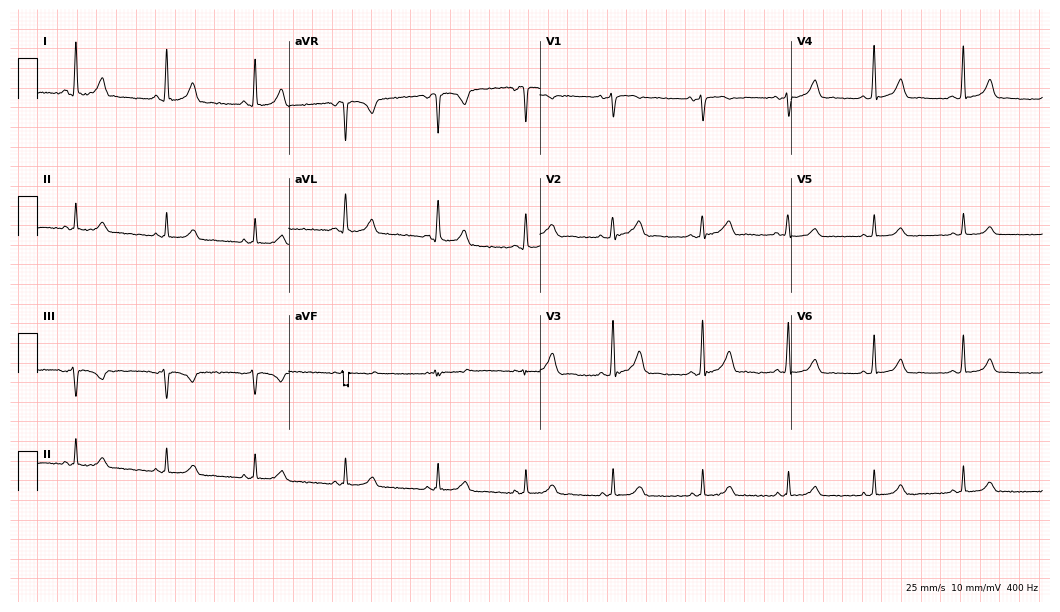
12-lead ECG (10.2-second recording at 400 Hz) from a woman, 46 years old. Labelled as a normal ECG.